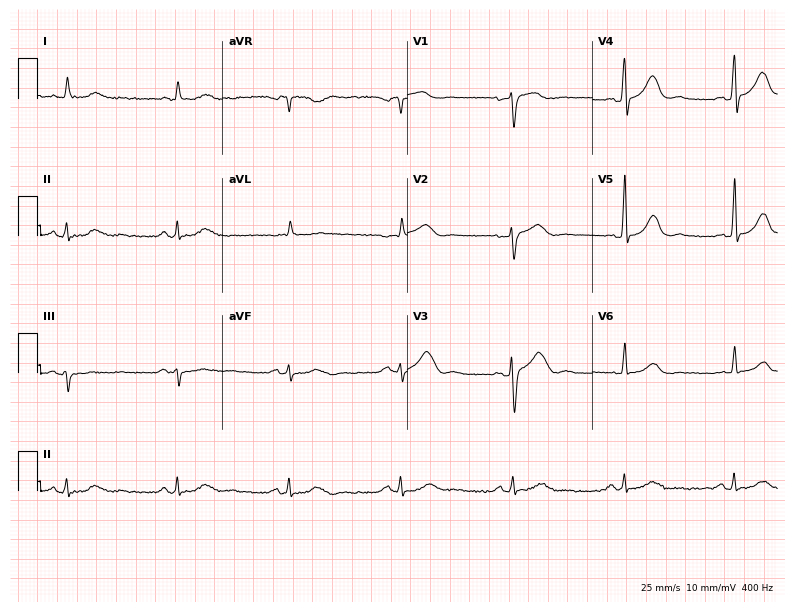
Standard 12-lead ECG recorded from a 71-year-old man (7.5-second recording at 400 Hz). Read as a normal ECG.